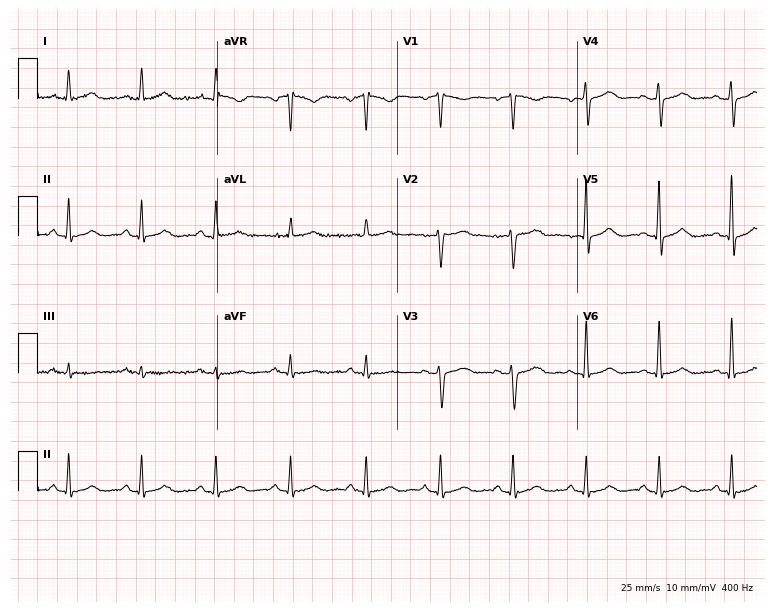
12-lead ECG from a female patient, 56 years old. Screened for six findings — first-degree AV block, right bundle branch block (RBBB), left bundle branch block (LBBB), sinus bradycardia, atrial fibrillation (AF), sinus tachycardia — none is recorded.